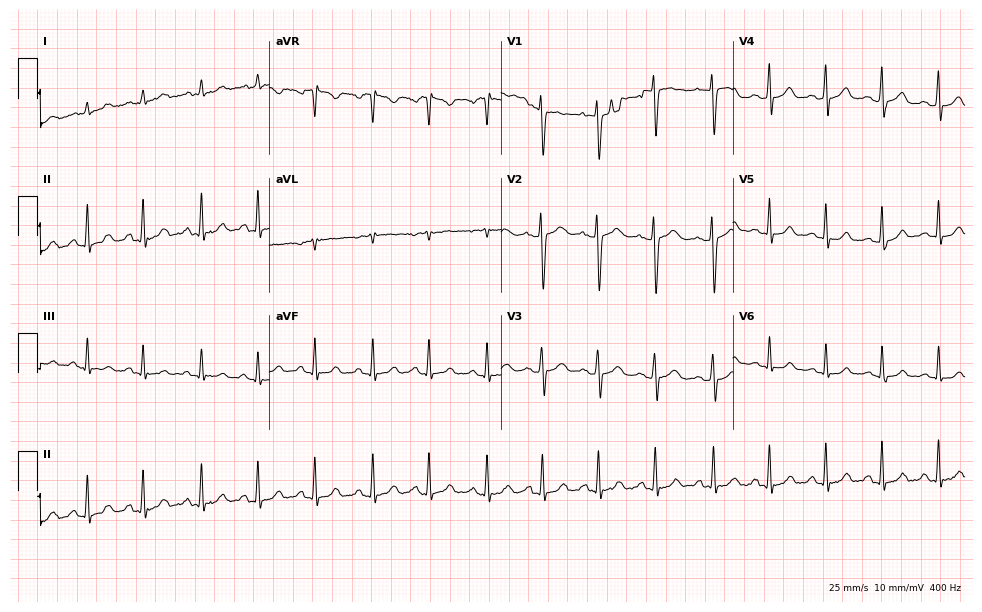
Standard 12-lead ECG recorded from a 21-year-old female patient. The tracing shows sinus tachycardia (a sinus rate of 100 beats per minute or more).